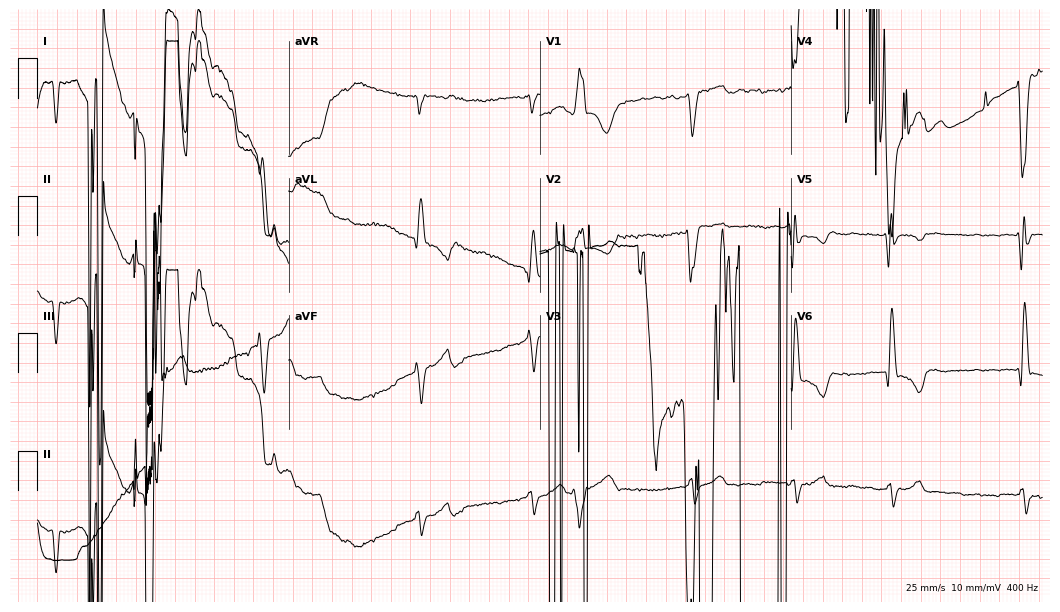
12-lead ECG from a 70-year-old woman. Screened for six findings — first-degree AV block, right bundle branch block (RBBB), left bundle branch block (LBBB), sinus bradycardia, atrial fibrillation (AF), sinus tachycardia — none is recorded.